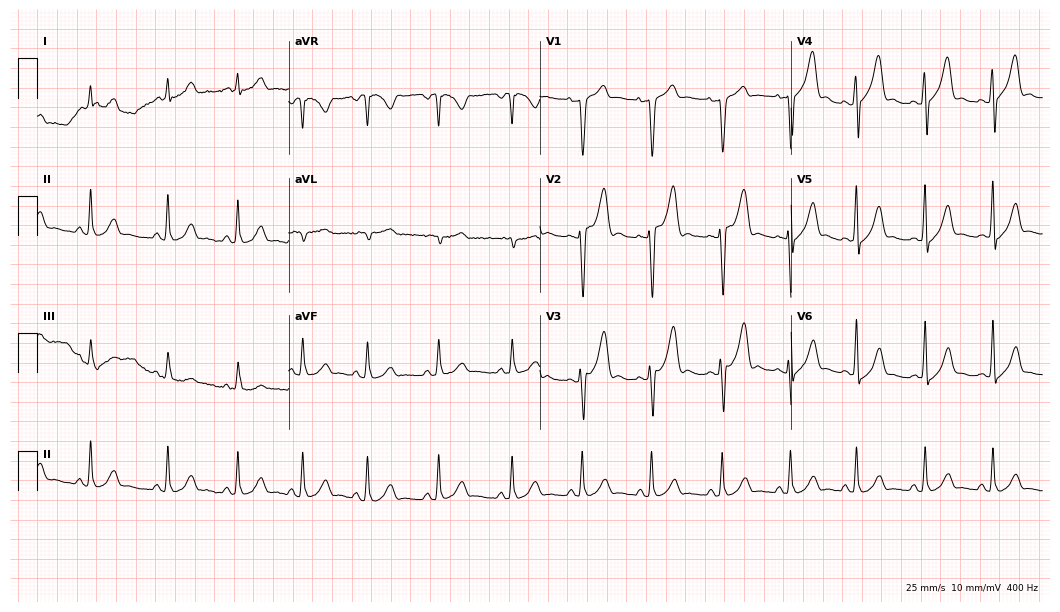
Resting 12-lead electrocardiogram. Patient: a 20-year-old female. Read as a normal ECG.